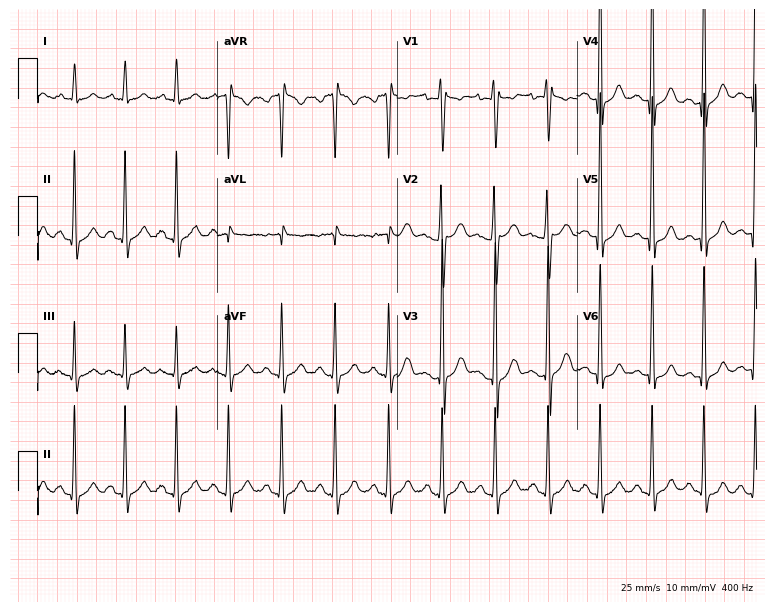
12-lead ECG from a male patient, 19 years old. Shows sinus tachycardia (a sinus rate of 100 beats per minute or more).